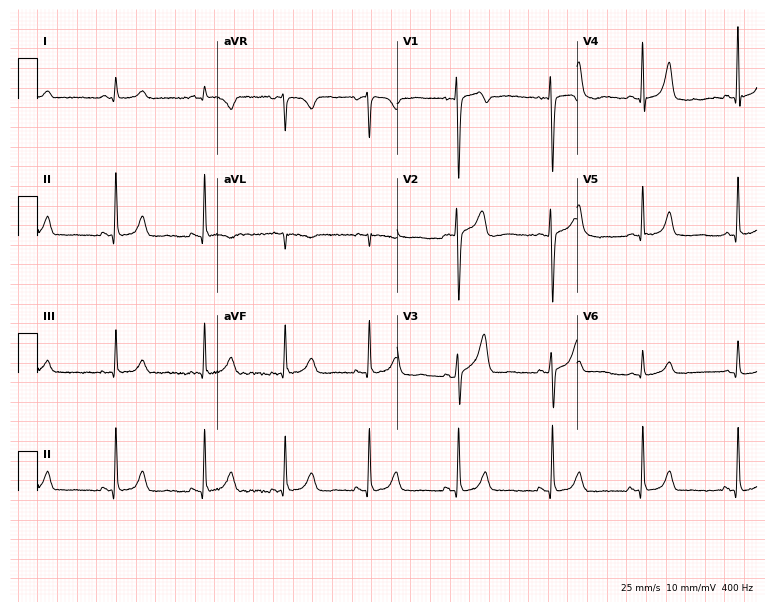
12-lead ECG from a female, 49 years old. Labelled as a normal ECG.